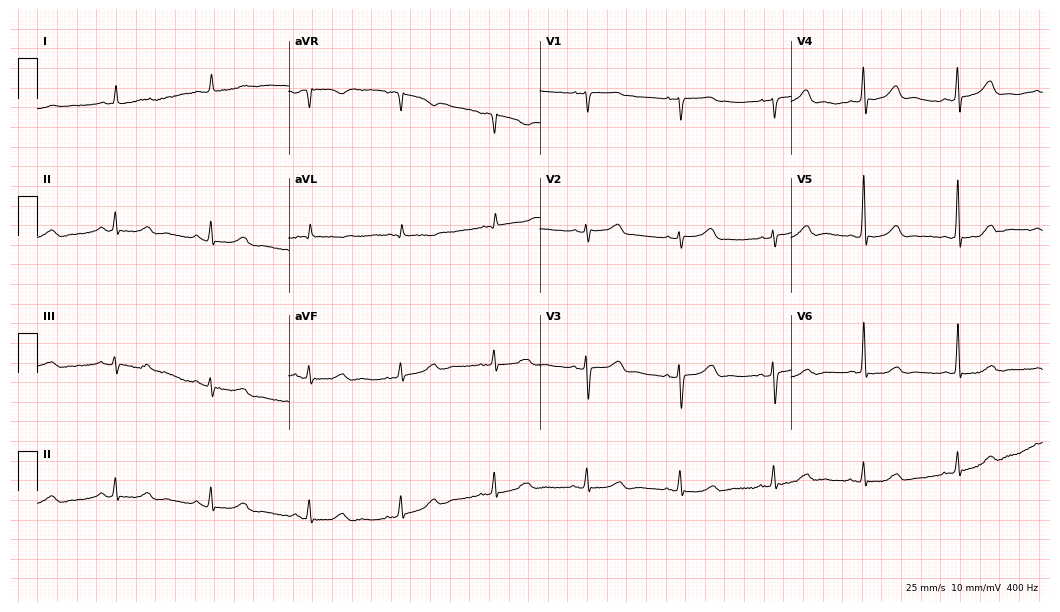
ECG (10.2-second recording at 400 Hz) — an 85-year-old woman. Screened for six findings — first-degree AV block, right bundle branch block, left bundle branch block, sinus bradycardia, atrial fibrillation, sinus tachycardia — none is recorded. Findings outside these six are not listed.